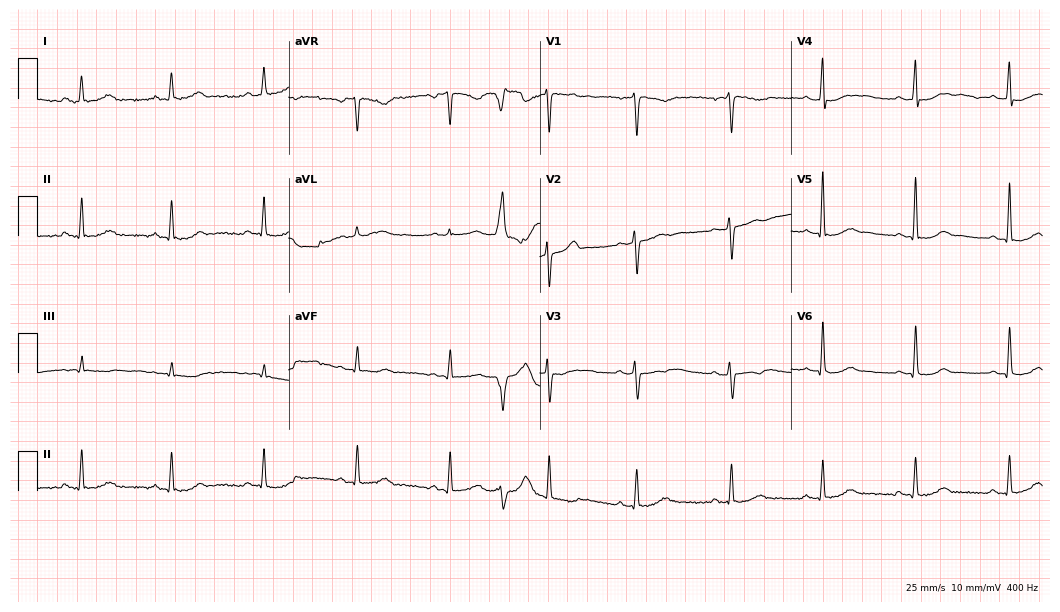
Resting 12-lead electrocardiogram. Patient: a 56-year-old female. None of these six findings is recorded: first-degree AV block, right bundle branch block (RBBB), left bundle branch block (LBBB), sinus bradycardia, atrial fibrillation (AF), sinus tachycardia. Findings outside these six are not listed.